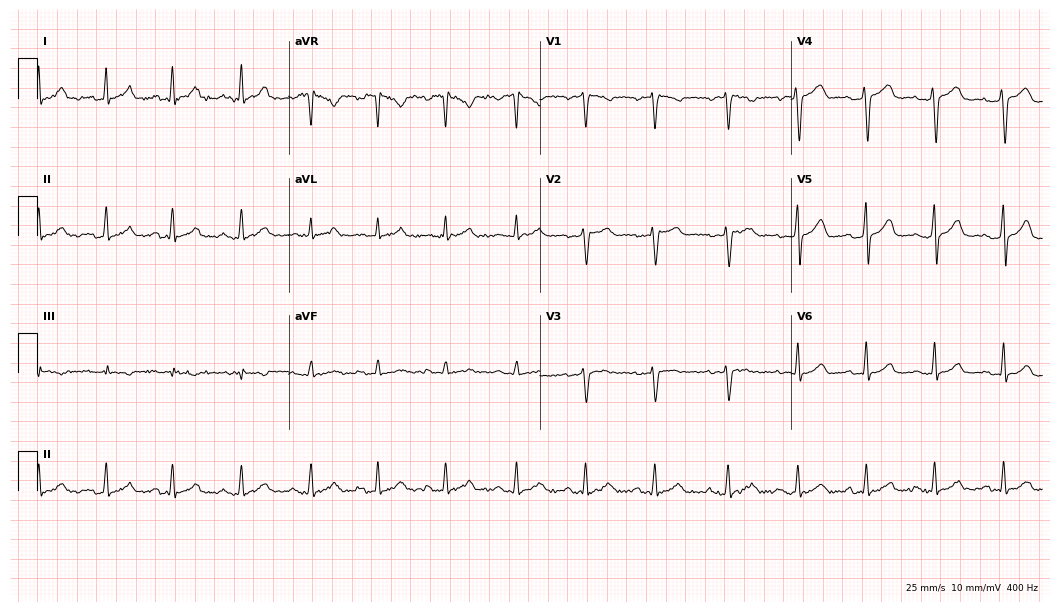
Resting 12-lead electrocardiogram. Patient: a 25-year-old female. Read as a normal ECG.